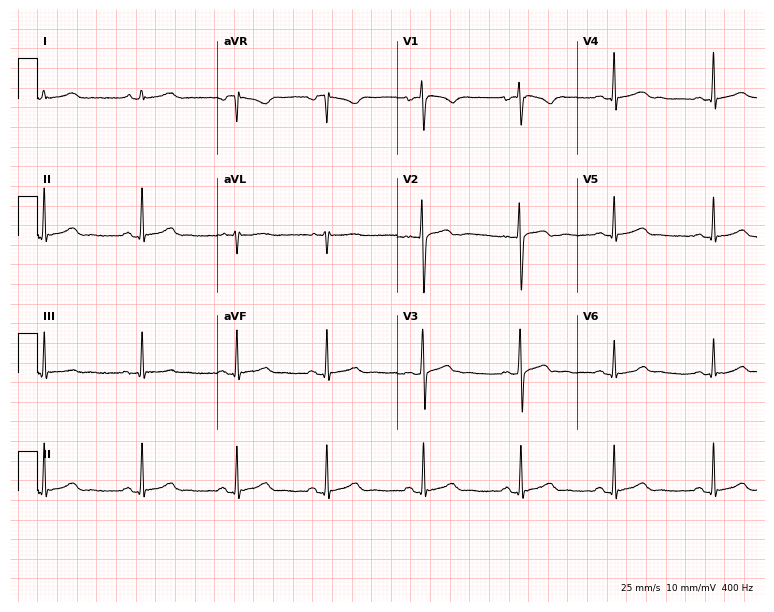
Resting 12-lead electrocardiogram. Patient: a 23-year-old woman. Read as a normal ECG.